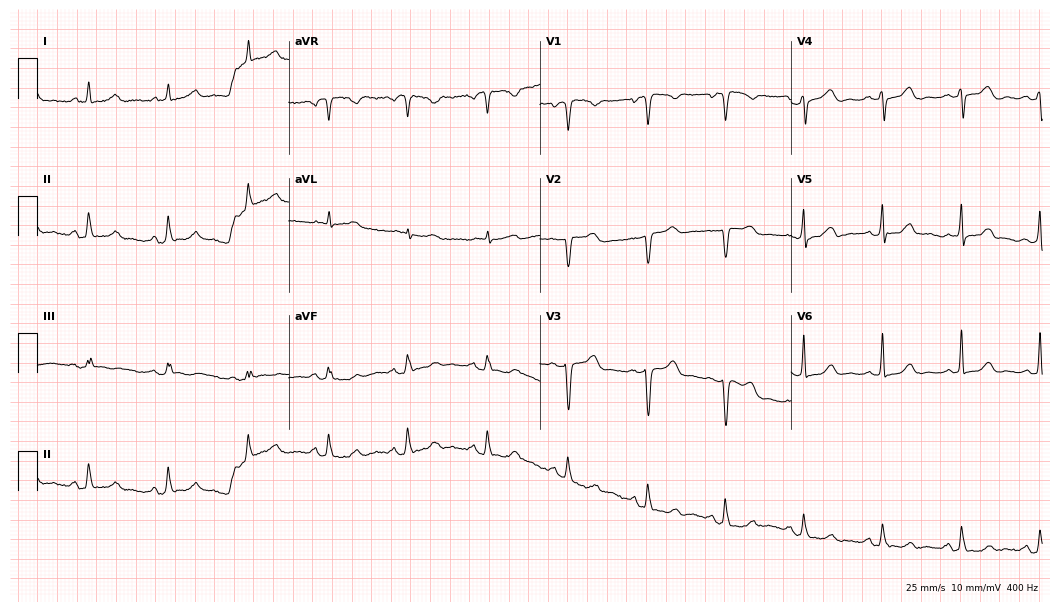
Resting 12-lead electrocardiogram (10.2-second recording at 400 Hz). Patient: a 49-year-old female. None of these six findings is recorded: first-degree AV block, right bundle branch block (RBBB), left bundle branch block (LBBB), sinus bradycardia, atrial fibrillation (AF), sinus tachycardia.